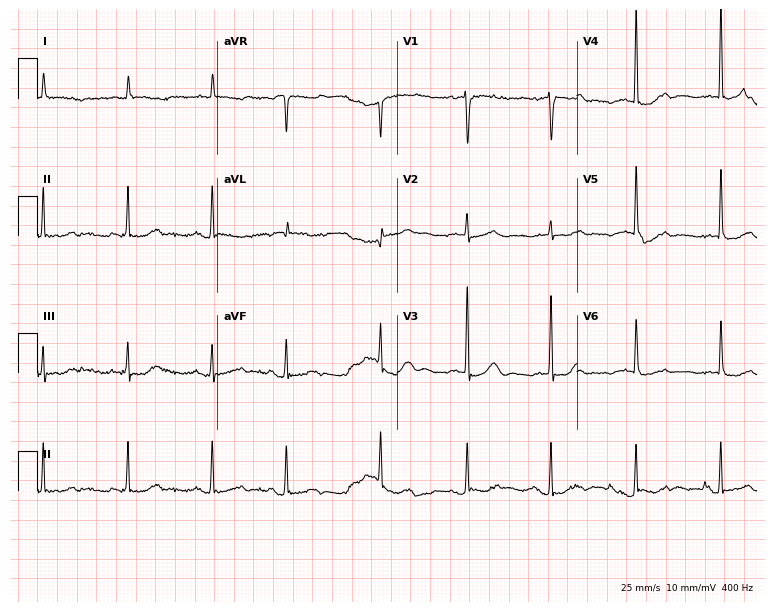
ECG — a female patient, 81 years old. Screened for six findings — first-degree AV block, right bundle branch block (RBBB), left bundle branch block (LBBB), sinus bradycardia, atrial fibrillation (AF), sinus tachycardia — none is recorded. Findings outside these six are not listed.